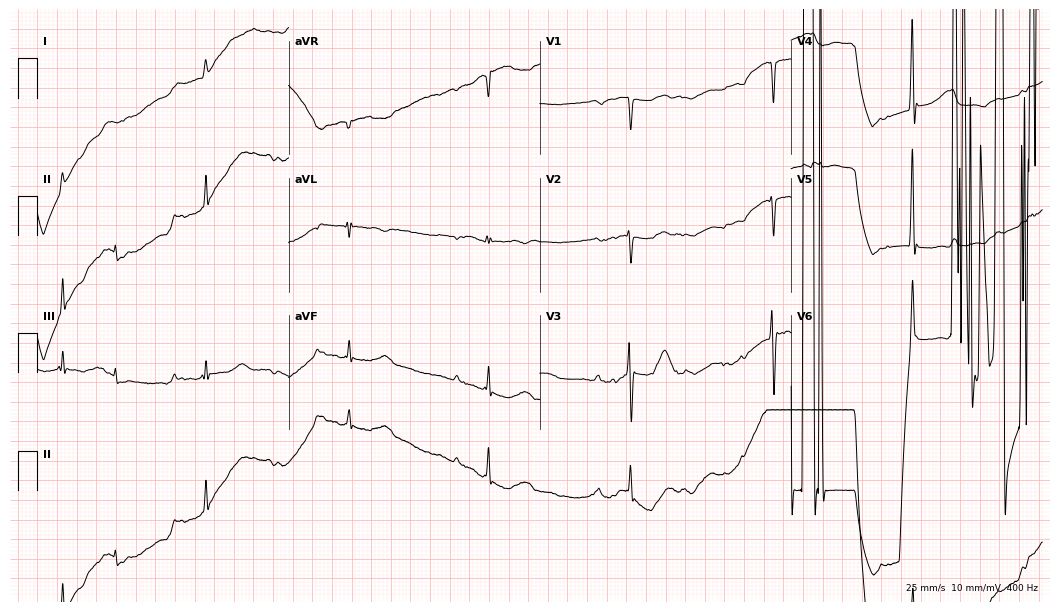
Standard 12-lead ECG recorded from an 82-year-old male patient (10.2-second recording at 400 Hz). None of these six findings is recorded: first-degree AV block, right bundle branch block, left bundle branch block, sinus bradycardia, atrial fibrillation, sinus tachycardia.